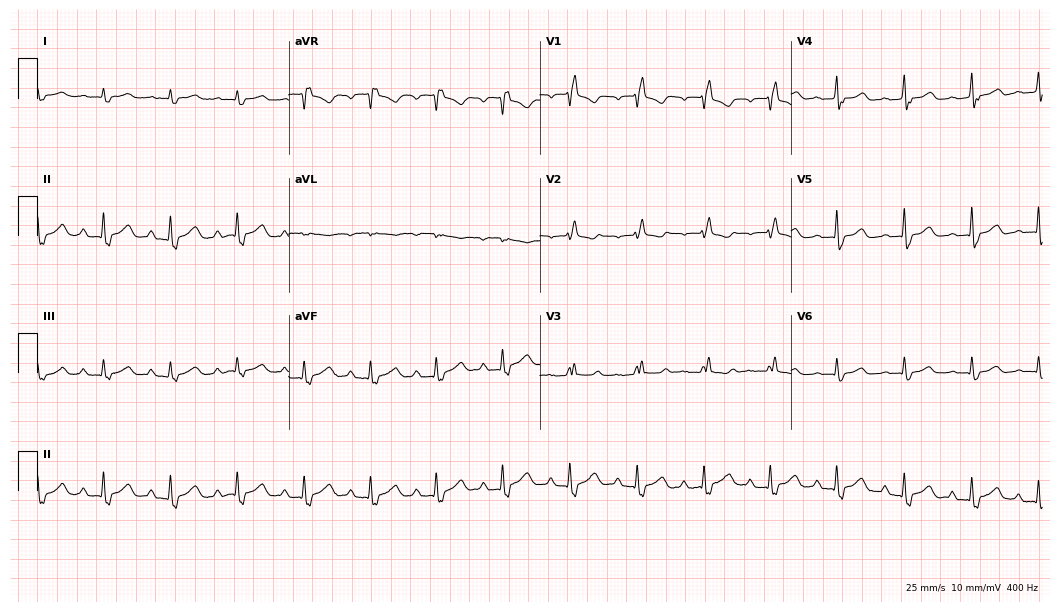
12-lead ECG from a male, 61 years old. Findings include first-degree AV block, right bundle branch block (RBBB).